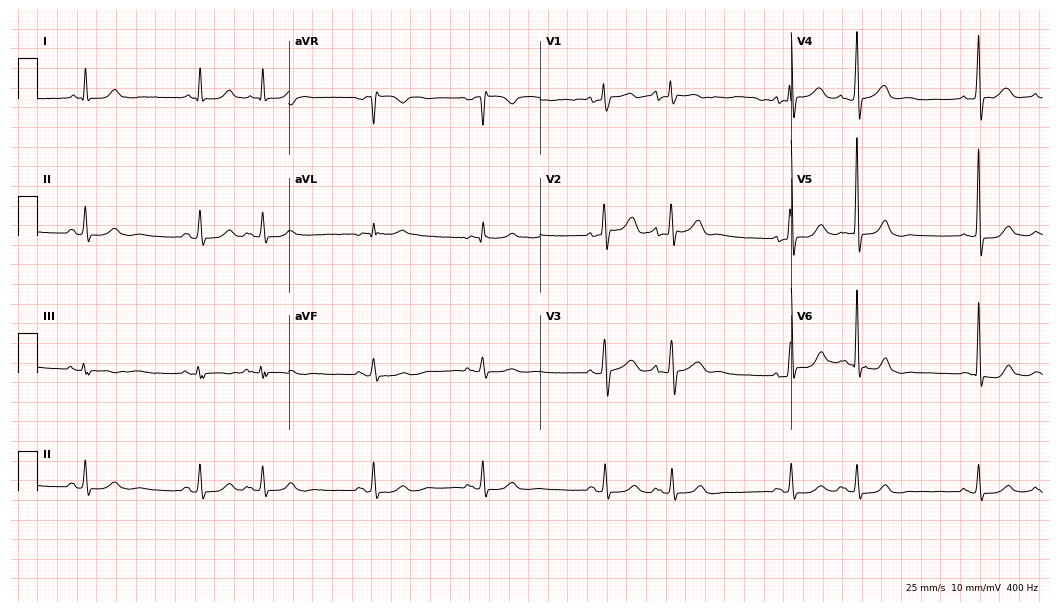
12-lead ECG from a man, 77 years old (10.2-second recording at 400 Hz). No first-degree AV block, right bundle branch block, left bundle branch block, sinus bradycardia, atrial fibrillation or sinus tachycardia recorded for this tracing. Other findings, if any, are not listed.